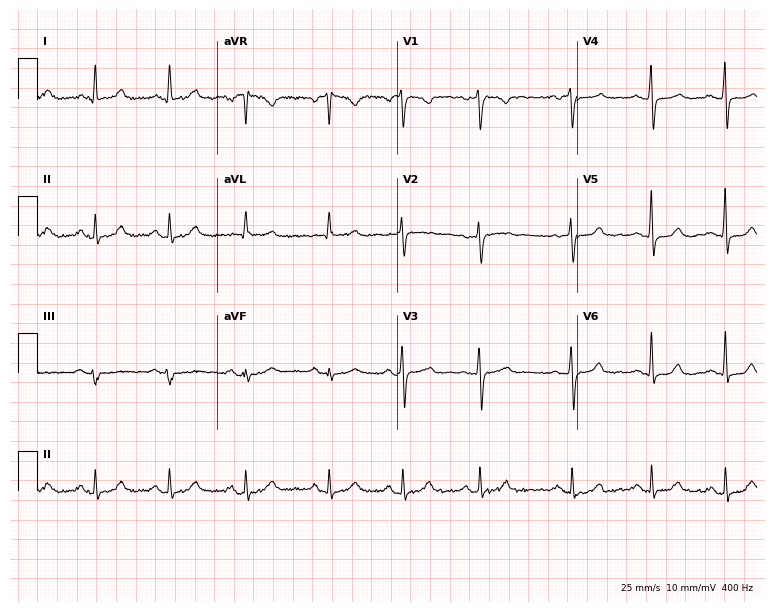
12-lead ECG from a 41-year-old female patient. Labelled as a normal ECG.